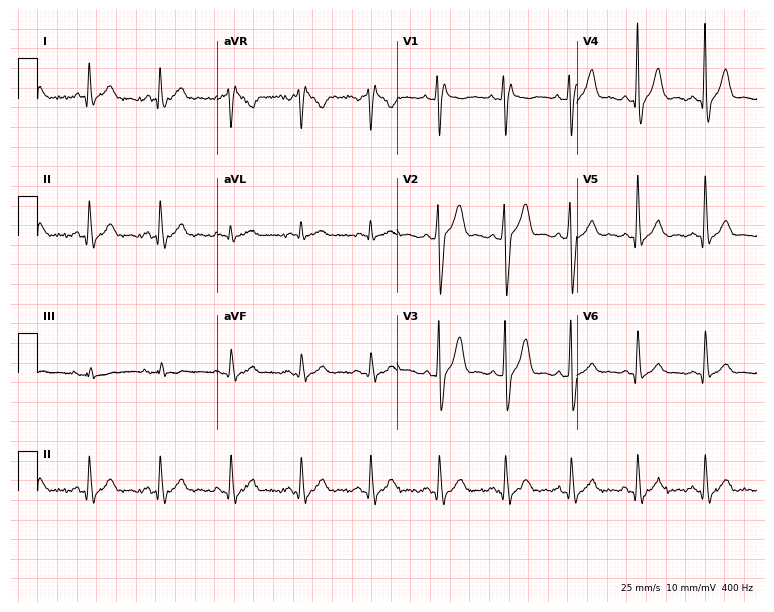
Resting 12-lead electrocardiogram. Patient: a 48-year-old man. The tracing shows right bundle branch block (RBBB).